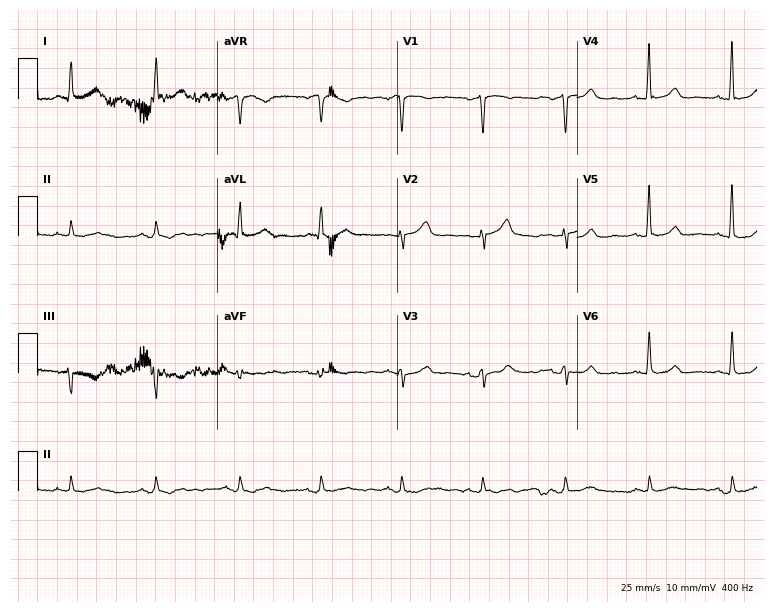
Electrocardiogram (7.3-second recording at 400 Hz), a 76-year-old male patient. Overall reading on record: normal ECG.